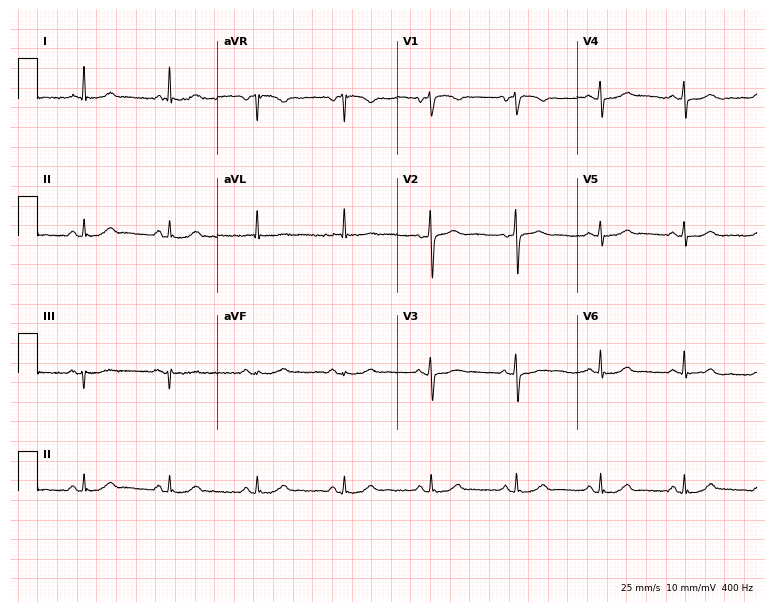
12-lead ECG from a female, 59 years old. Labelled as a normal ECG.